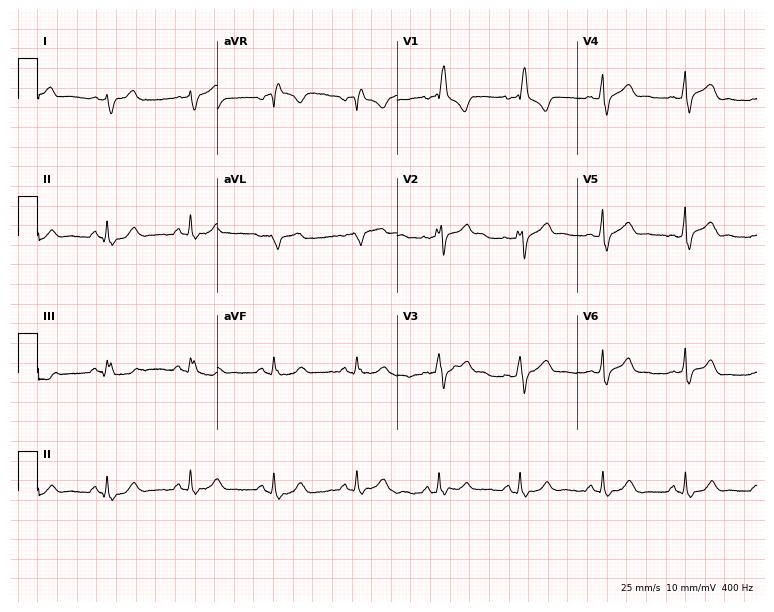
12-lead ECG (7.3-second recording at 400 Hz) from a man, 40 years old. Findings include right bundle branch block.